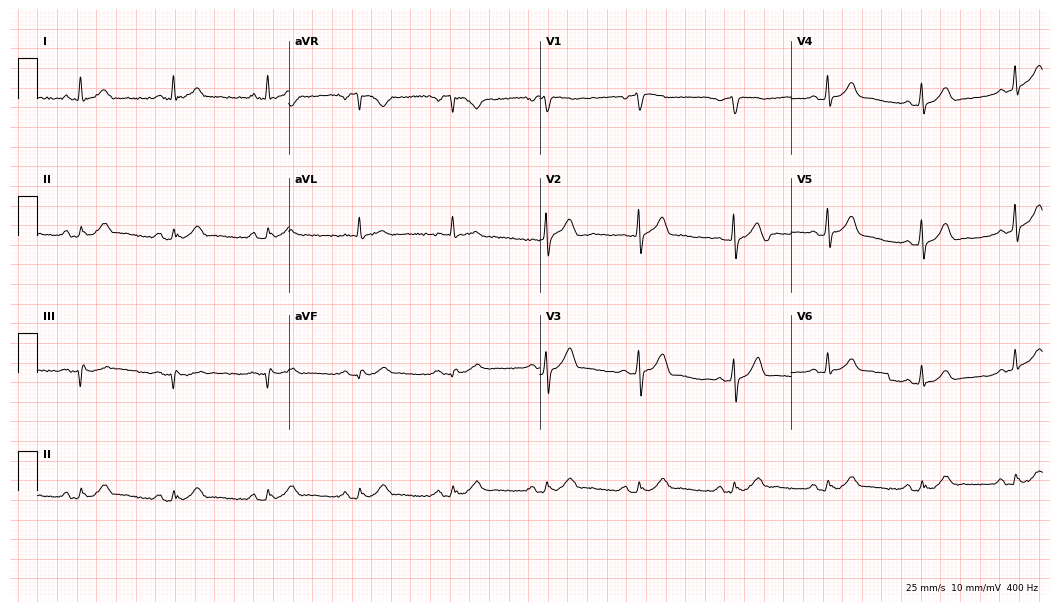
Standard 12-lead ECG recorded from a 53-year-old man (10.2-second recording at 400 Hz). Read as a normal ECG.